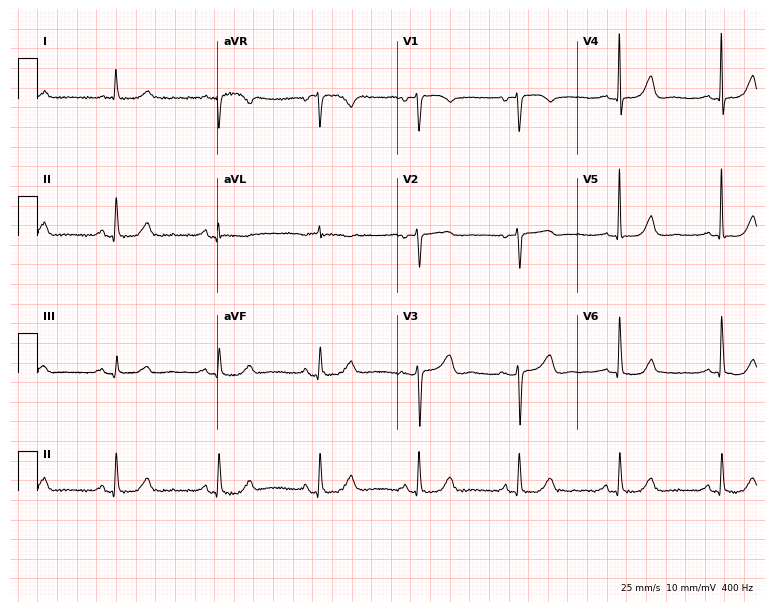
12-lead ECG from a 36-year-old female patient. Screened for six findings — first-degree AV block, right bundle branch block (RBBB), left bundle branch block (LBBB), sinus bradycardia, atrial fibrillation (AF), sinus tachycardia — none is recorded.